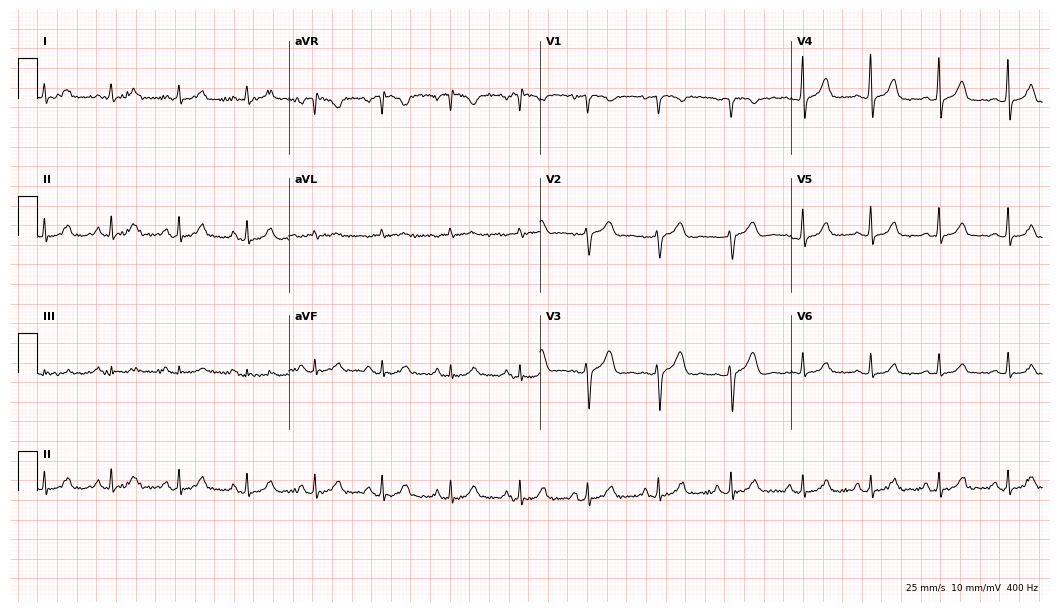
Electrocardiogram, a female patient, 42 years old. Overall reading on record: normal ECG.